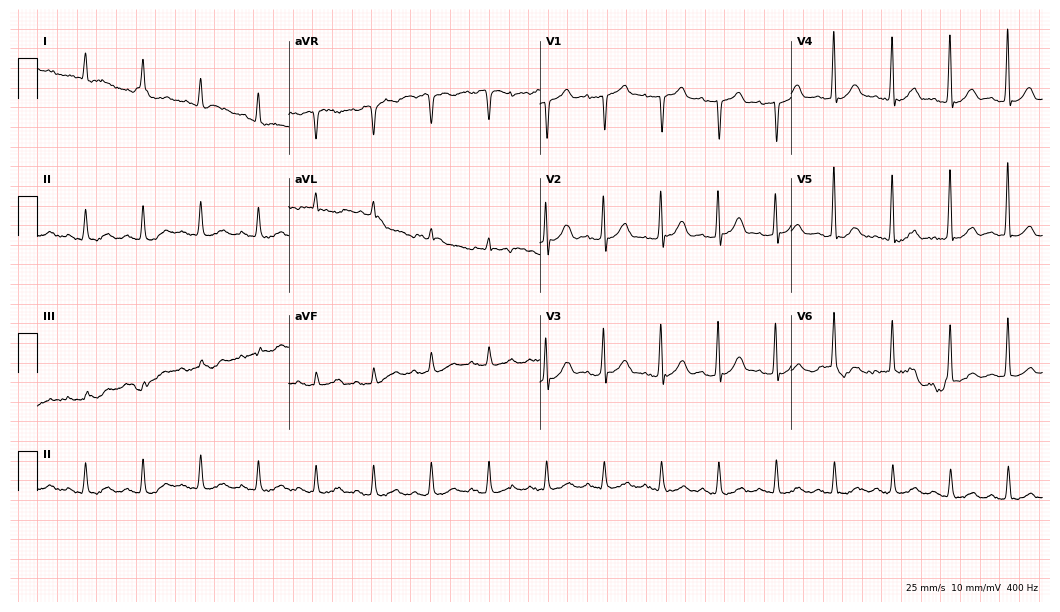
12-lead ECG (10.2-second recording at 400 Hz) from a male, 70 years old. Findings include sinus tachycardia (a sinus rate of 100 beats per minute or more).